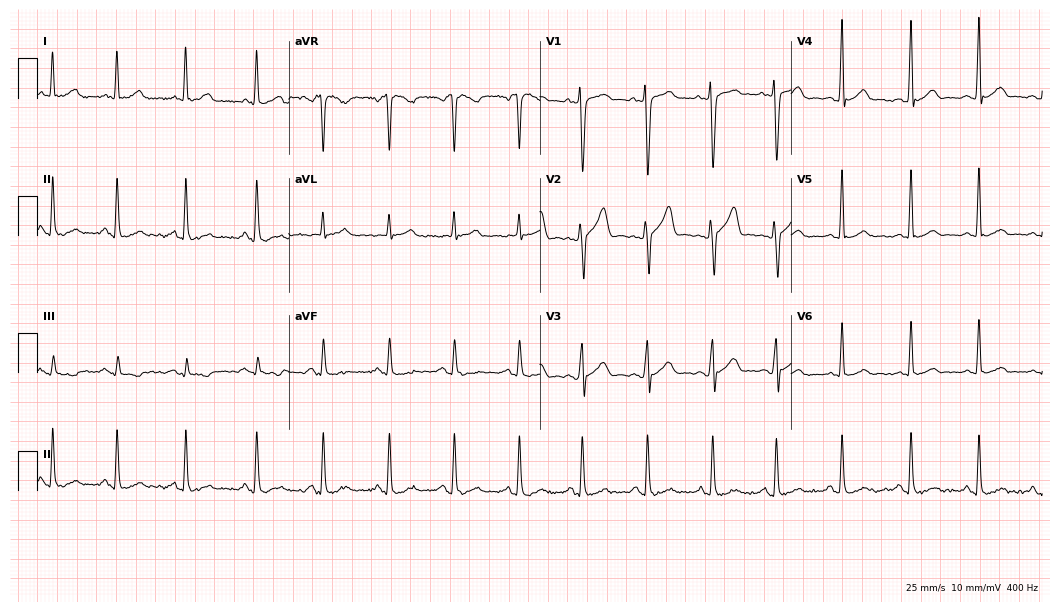
Electrocardiogram, a male, 26 years old. Overall reading on record: normal ECG.